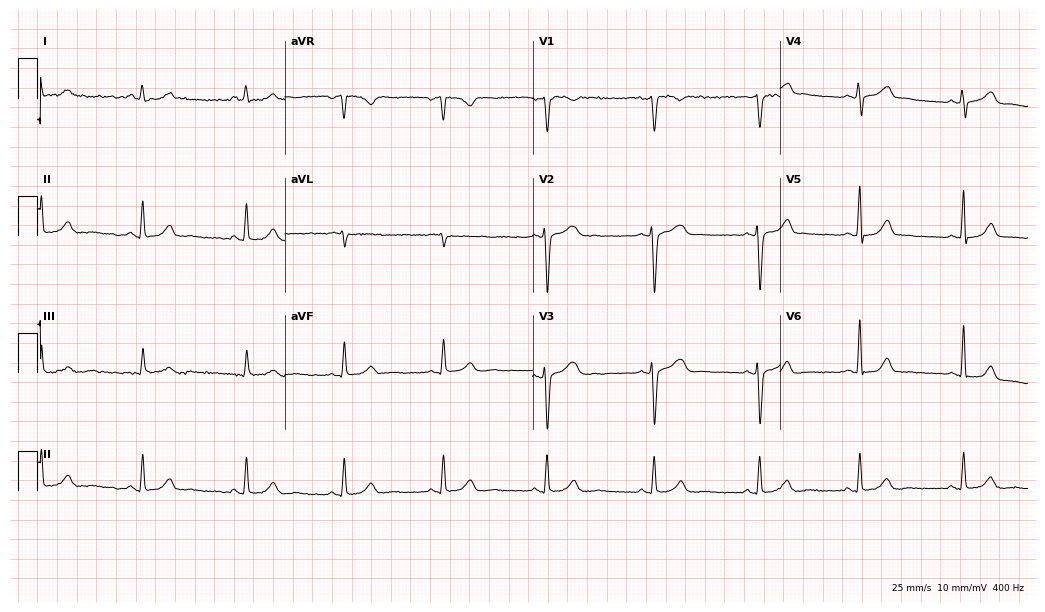
Electrocardiogram, a 40-year-old female. Overall reading on record: normal ECG.